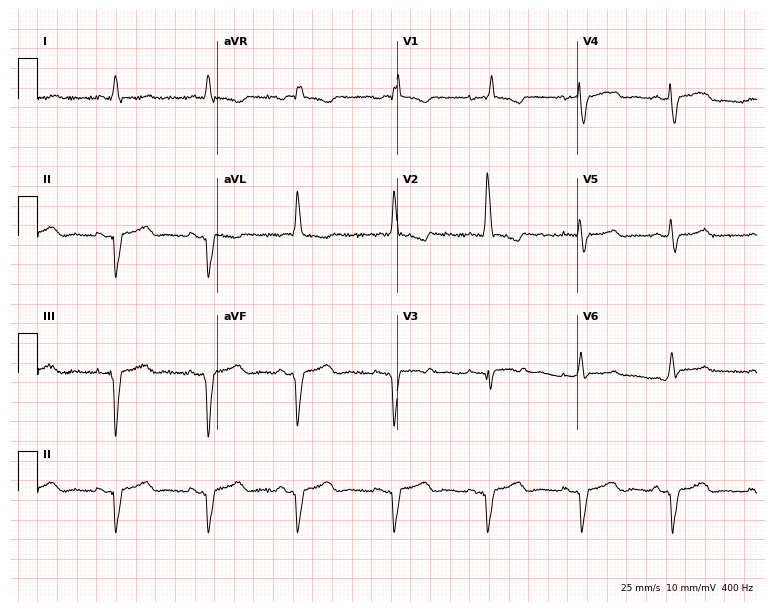
ECG — a 41-year-old female patient. Screened for six findings — first-degree AV block, right bundle branch block, left bundle branch block, sinus bradycardia, atrial fibrillation, sinus tachycardia — none is recorded.